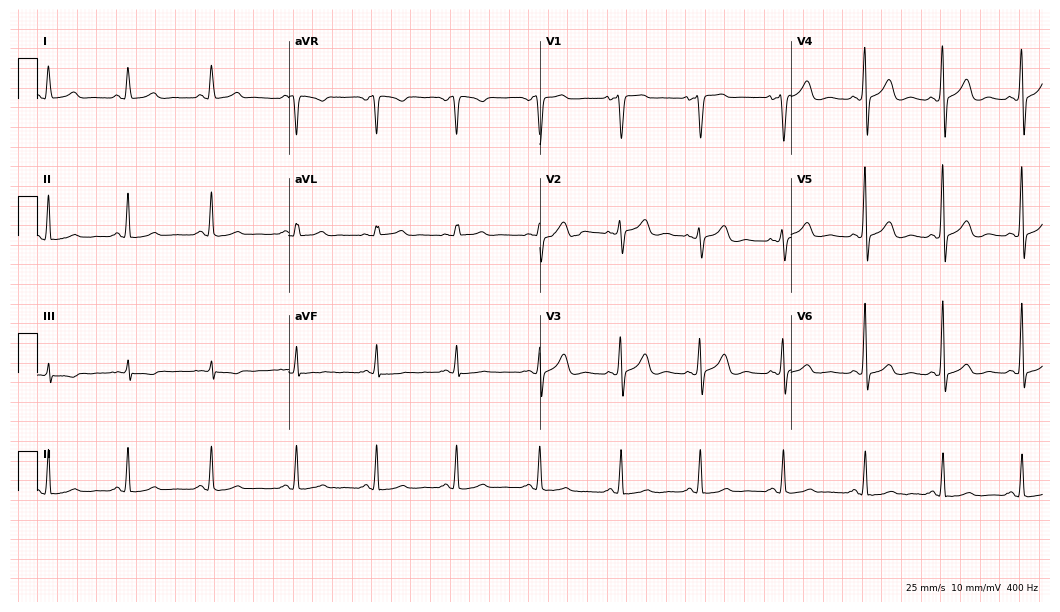
Electrocardiogram, a female patient, 36 years old. Of the six screened findings (first-degree AV block, right bundle branch block (RBBB), left bundle branch block (LBBB), sinus bradycardia, atrial fibrillation (AF), sinus tachycardia), none is recorded.